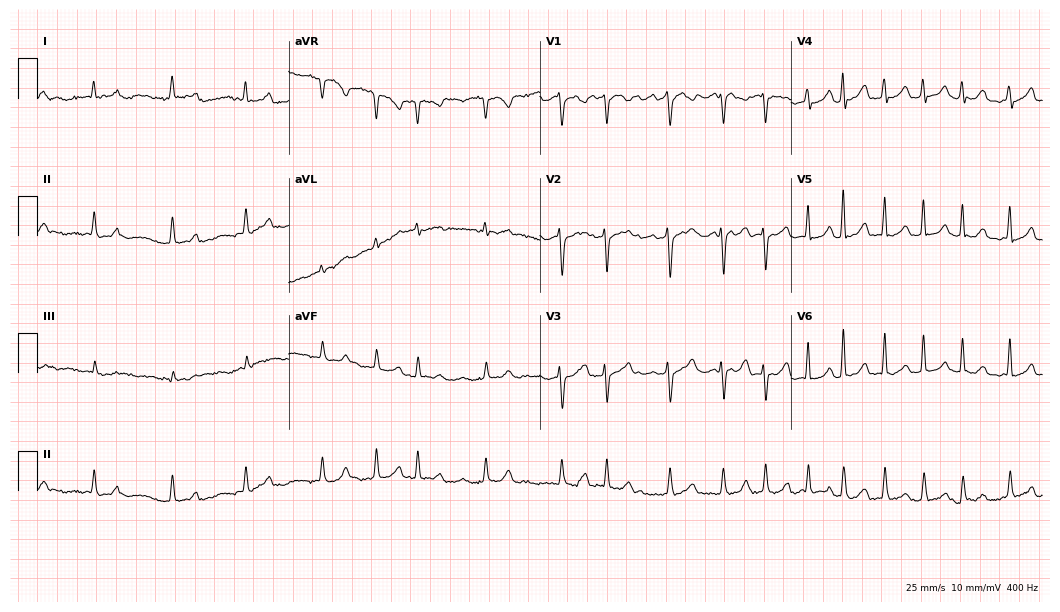
Standard 12-lead ECG recorded from an 84-year-old woman. The tracing shows atrial fibrillation (AF), sinus tachycardia (a sinus rate of 100 beats per minute or more).